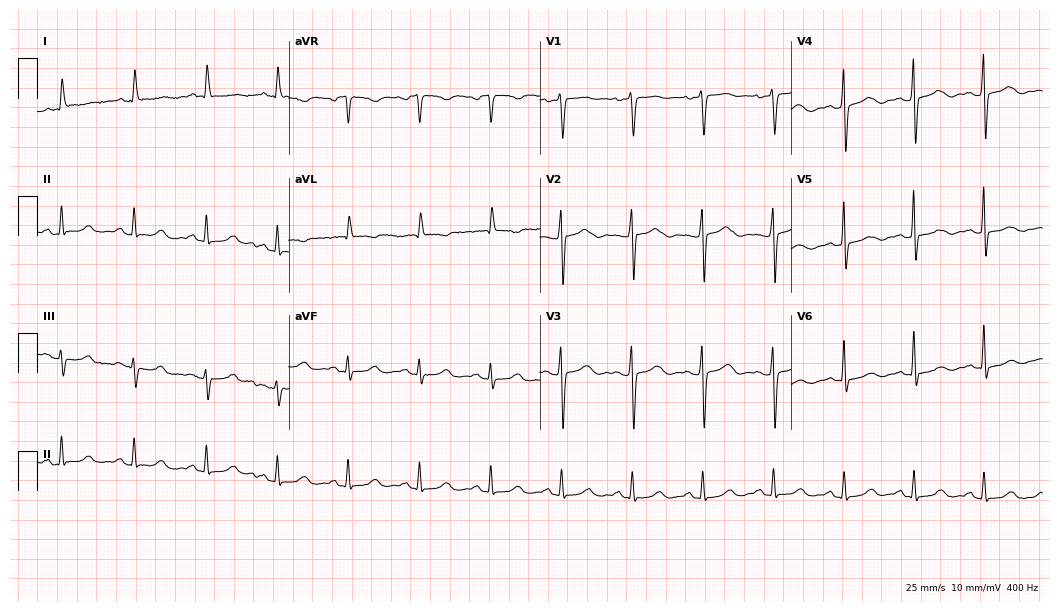
Electrocardiogram, a 64-year-old female. Overall reading on record: normal ECG.